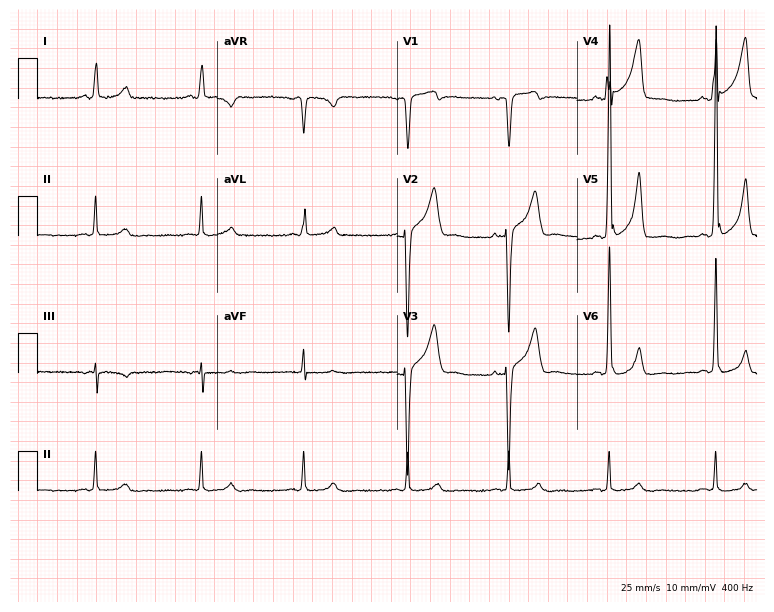
Standard 12-lead ECG recorded from a 72-year-old man (7.3-second recording at 400 Hz). None of these six findings is recorded: first-degree AV block, right bundle branch block, left bundle branch block, sinus bradycardia, atrial fibrillation, sinus tachycardia. Other findings, if any, are not listed.